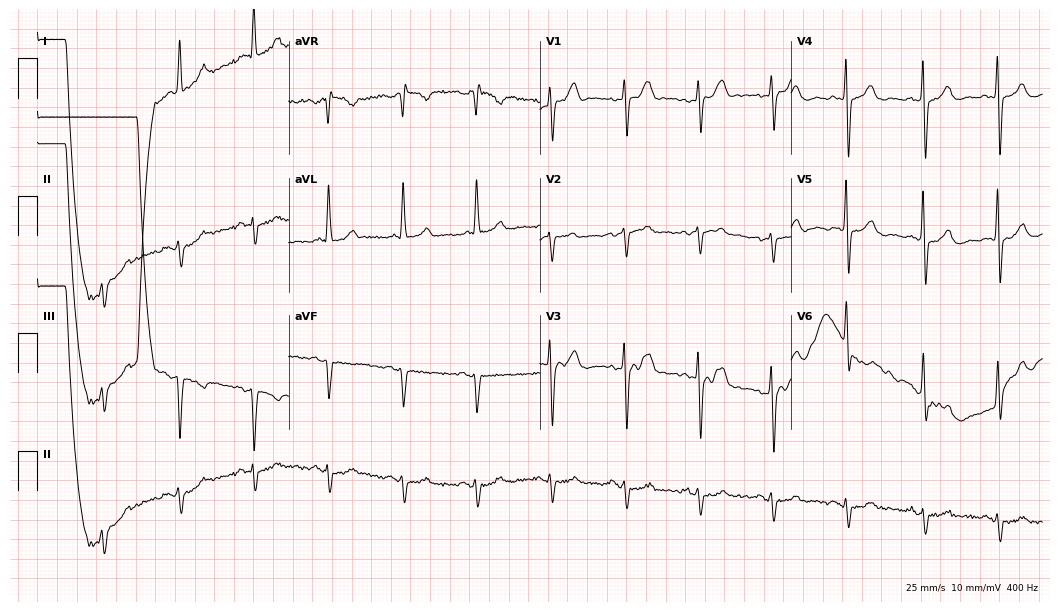
12-lead ECG from a 78-year-old male. Screened for six findings — first-degree AV block, right bundle branch block (RBBB), left bundle branch block (LBBB), sinus bradycardia, atrial fibrillation (AF), sinus tachycardia — none is recorded. Other findings, if any, are not listed.